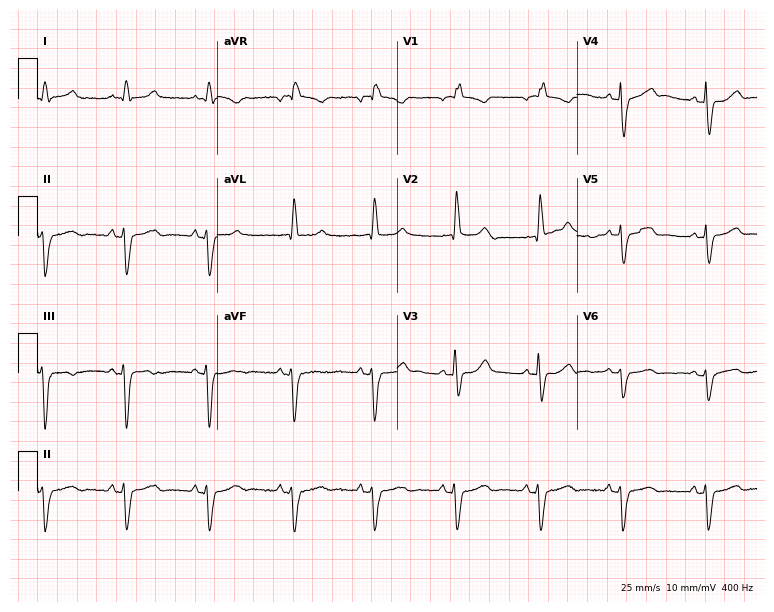
Resting 12-lead electrocardiogram (7.3-second recording at 400 Hz). Patient: an 84-year-old female. None of these six findings is recorded: first-degree AV block, right bundle branch block, left bundle branch block, sinus bradycardia, atrial fibrillation, sinus tachycardia. Other findings, if any, are not listed.